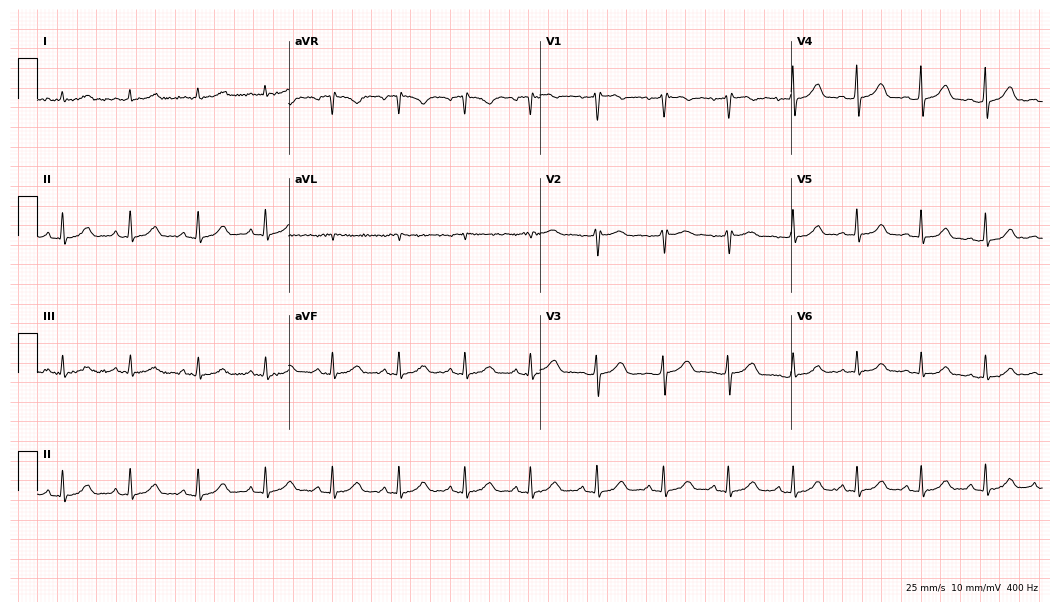
ECG (10.2-second recording at 400 Hz) — a 32-year-old female. Screened for six findings — first-degree AV block, right bundle branch block, left bundle branch block, sinus bradycardia, atrial fibrillation, sinus tachycardia — none is recorded. Findings outside these six are not listed.